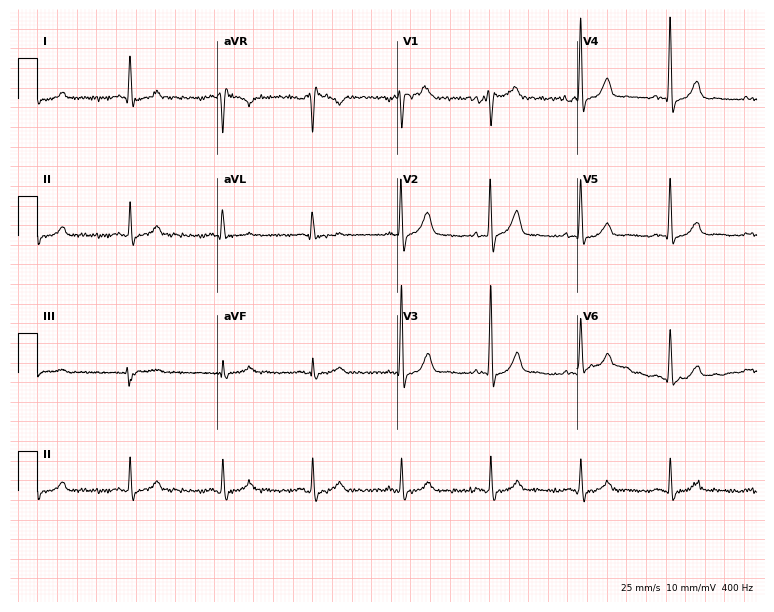
ECG — a female patient, 55 years old. Labelled as a normal ECG.